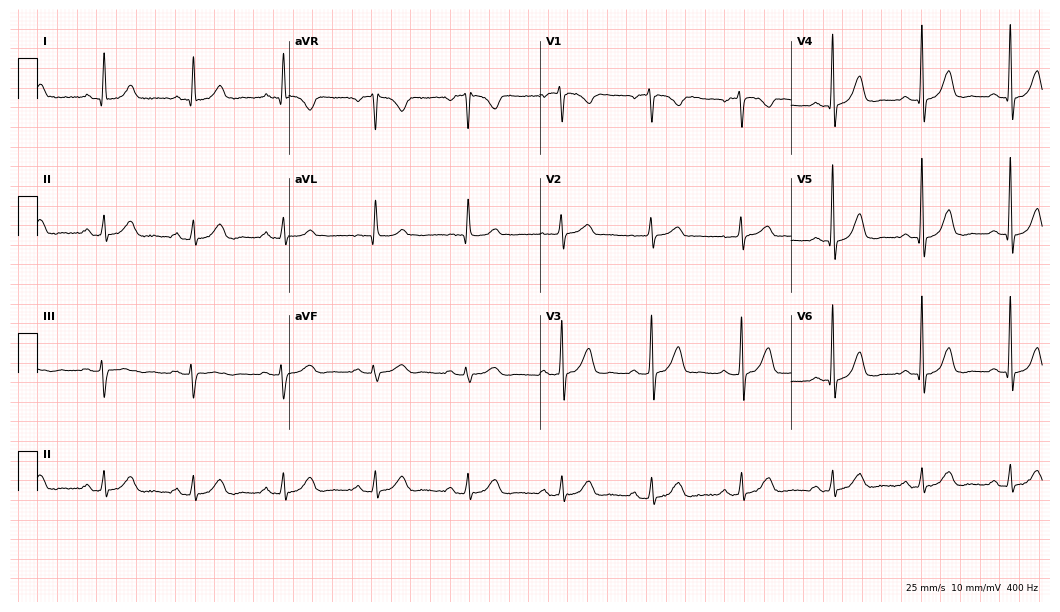
ECG (10.2-second recording at 400 Hz) — a woman, 72 years old. Labelled as a normal ECG.